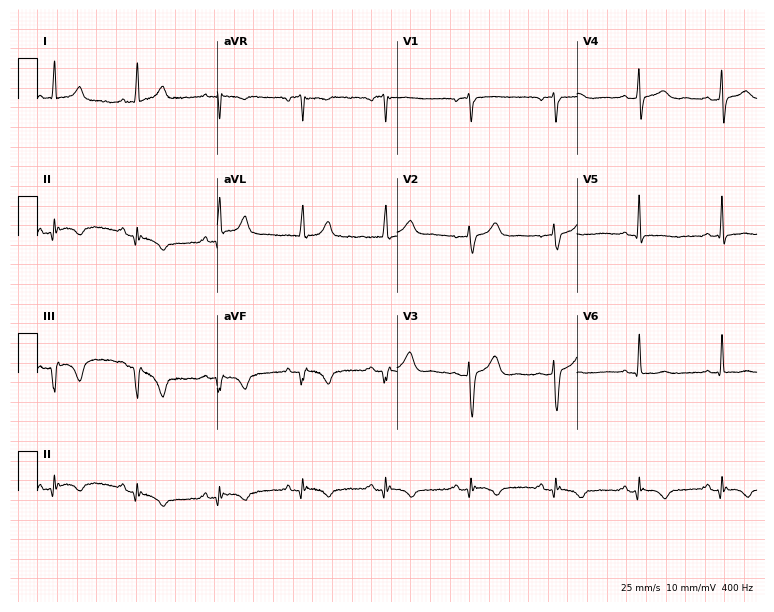
Resting 12-lead electrocardiogram. Patient: a female, 52 years old. None of these six findings is recorded: first-degree AV block, right bundle branch block, left bundle branch block, sinus bradycardia, atrial fibrillation, sinus tachycardia. Findings outside these six are not listed.